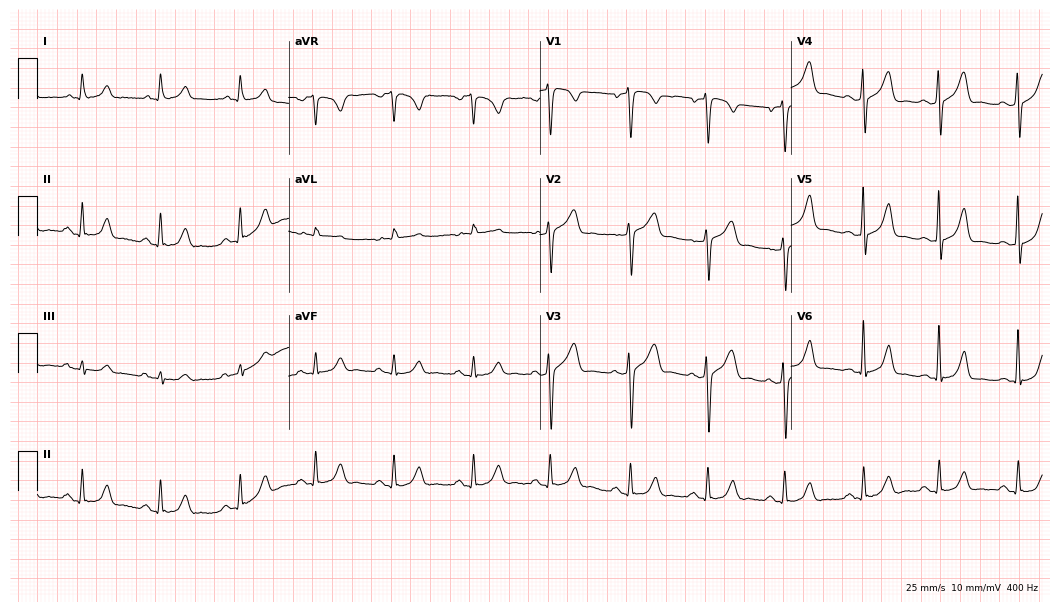
12-lead ECG from a 59-year-old male patient. Recorded interpretation: within normal limits.